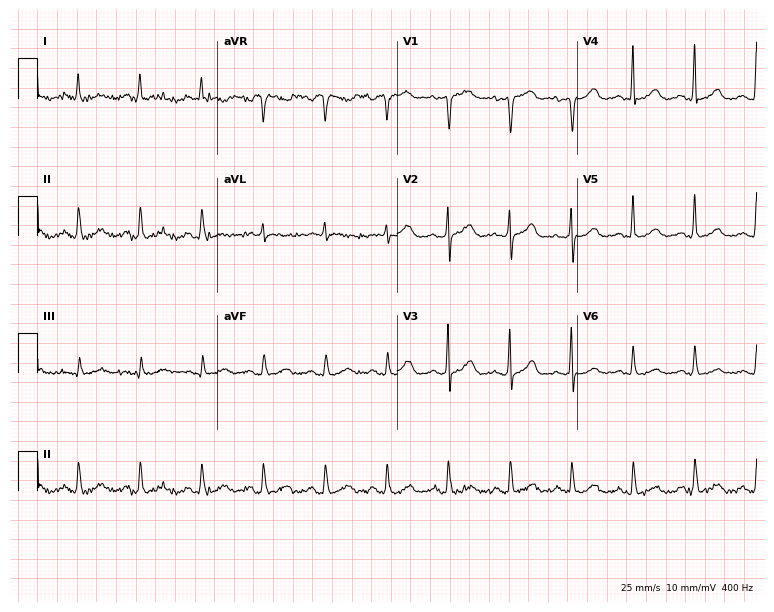
Resting 12-lead electrocardiogram (7.3-second recording at 400 Hz). Patient: a female, 65 years old. Read as a normal ECG.